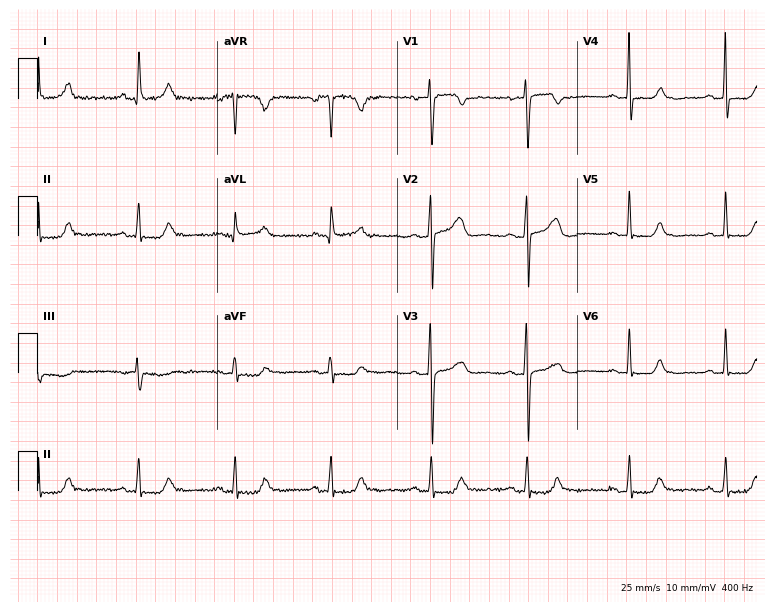
Standard 12-lead ECG recorded from a 63-year-old female. Read as a normal ECG.